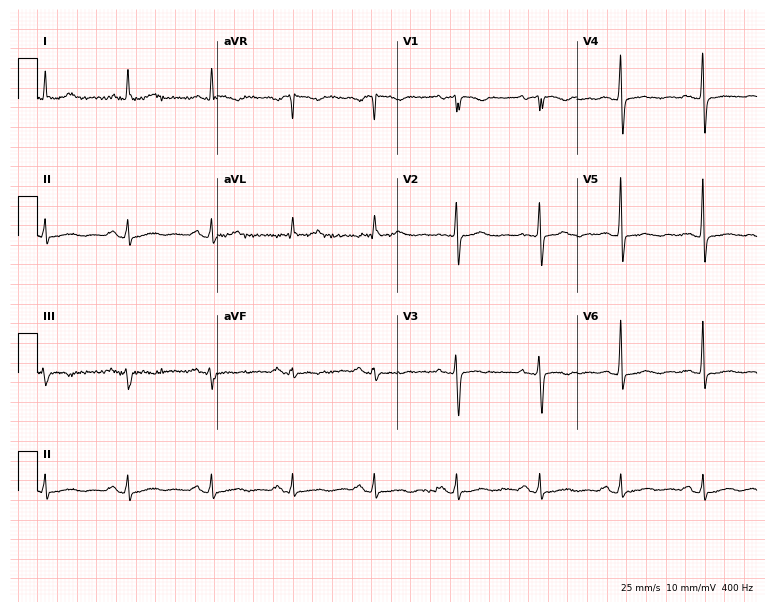
12-lead ECG from a 75-year-old woman. No first-degree AV block, right bundle branch block, left bundle branch block, sinus bradycardia, atrial fibrillation or sinus tachycardia recorded for this tracing.